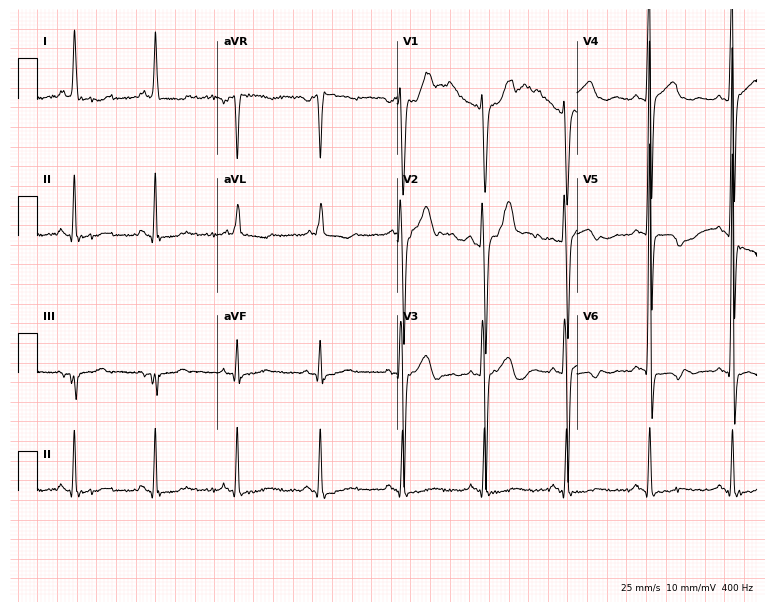
Standard 12-lead ECG recorded from a man, 74 years old. None of these six findings is recorded: first-degree AV block, right bundle branch block (RBBB), left bundle branch block (LBBB), sinus bradycardia, atrial fibrillation (AF), sinus tachycardia.